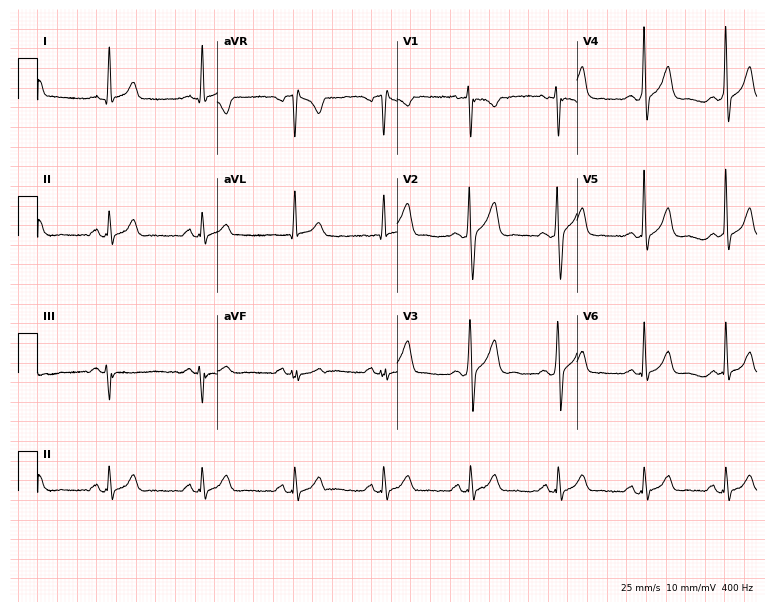
Resting 12-lead electrocardiogram (7.3-second recording at 400 Hz). Patient: a man, 41 years old. None of these six findings is recorded: first-degree AV block, right bundle branch block (RBBB), left bundle branch block (LBBB), sinus bradycardia, atrial fibrillation (AF), sinus tachycardia.